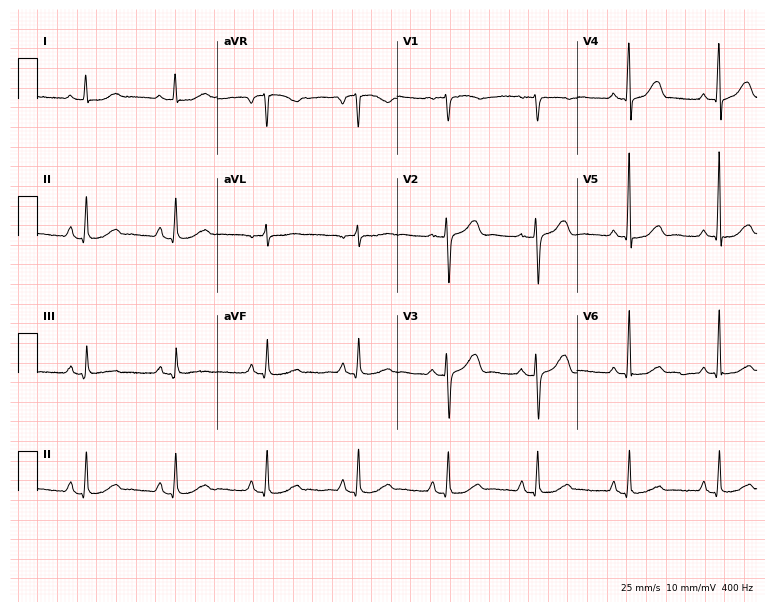
Resting 12-lead electrocardiogram. Patient: a female, 70 years old. None of these six findings is recorded: first-degree AV block, right bundle branch block (RBBB), left bundle branch block (LBBB), sinus bradycardia, atrial fibrillation (AF), sinus tachycardia. Other findings, if any, are not listed.